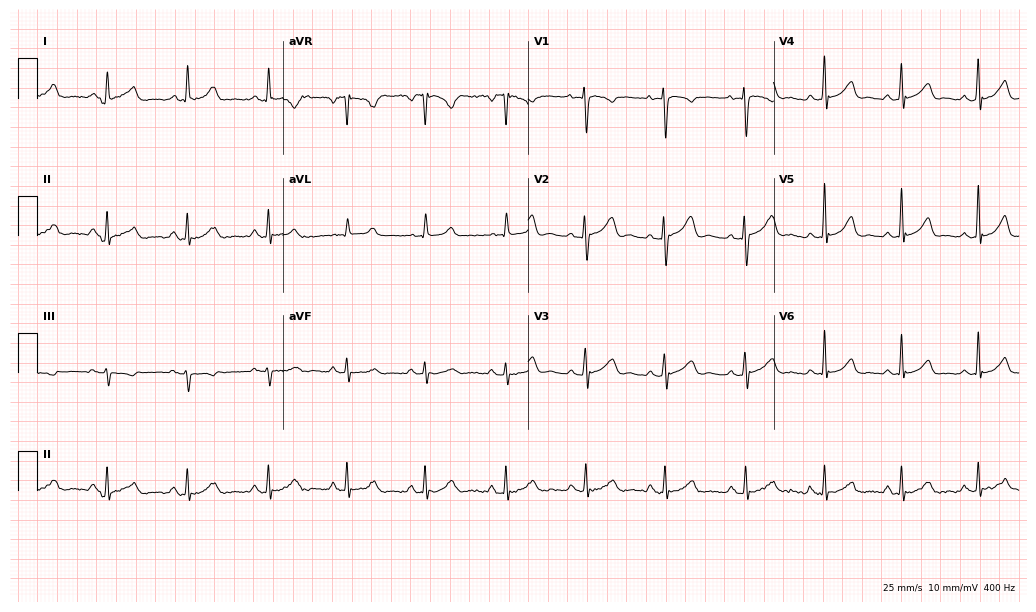
12-lead ECG from a 49-year-old woman. Screened for six findings — first-degree AV block, right bundle branch block (RBBB), left bundle branch block (LBBB), sinus bradycardia, atrial fibrillation (AF), sinus tachycardia — none is recorded.